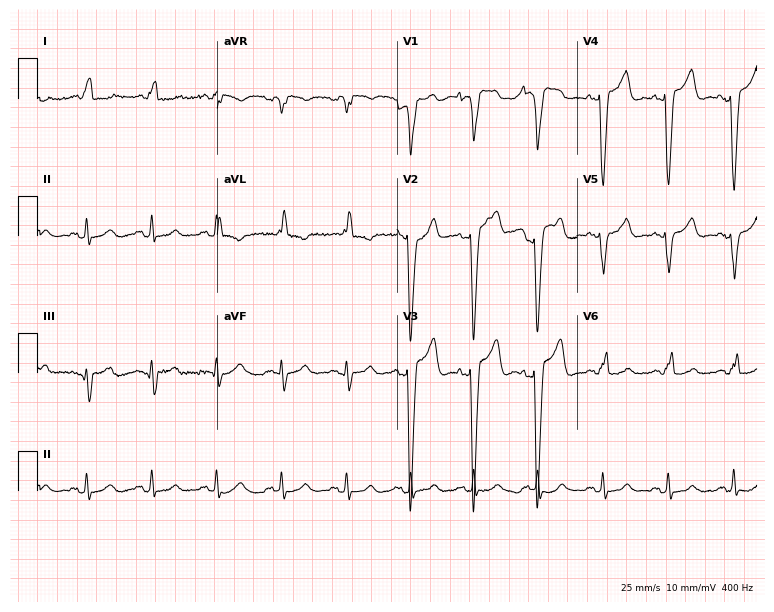
Standard 12-lead ECG recorded from a female patient, 81 years old (7.3-second recording at 400 Hz). None of these six findings is recorded: first-degree AV block, right bundle branch block, left bundle branch block, sinus bradycardia, atrial fibrillation, sinus tachycardia. Only these six findings were labelled.